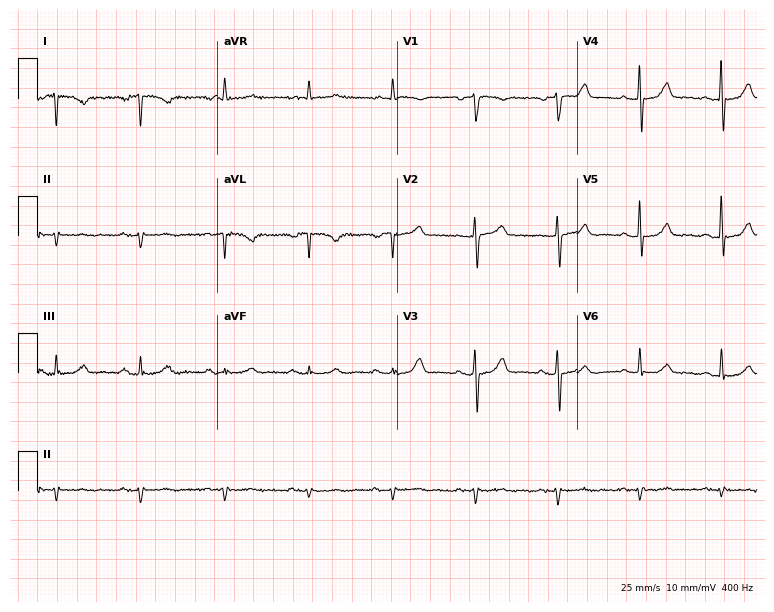
Resting 12-lead electrocardiogram. Patient: an 80-year-old man. None of these six findings is recorded: first-degree AV block, right bundle branch block (RBBB), left bundle branch block (LBBB), sinus bradycardia, atrial fibrillation (AF), sinus tachycardia. Only these six findings were labelled.